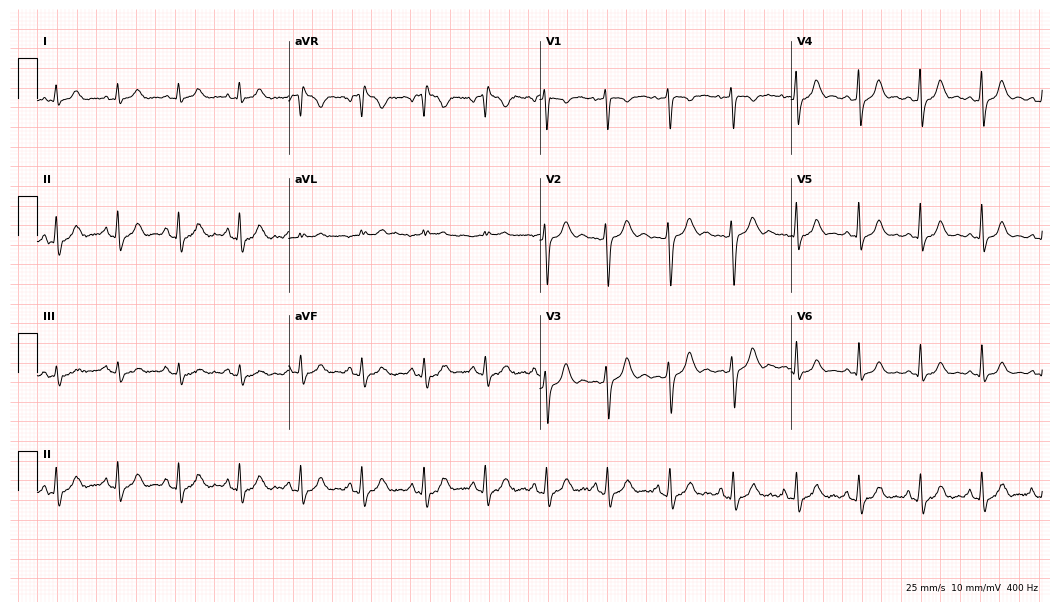
Electrocardiogram, a 24-year-old female patient. Overall reading on record: normal ECG.